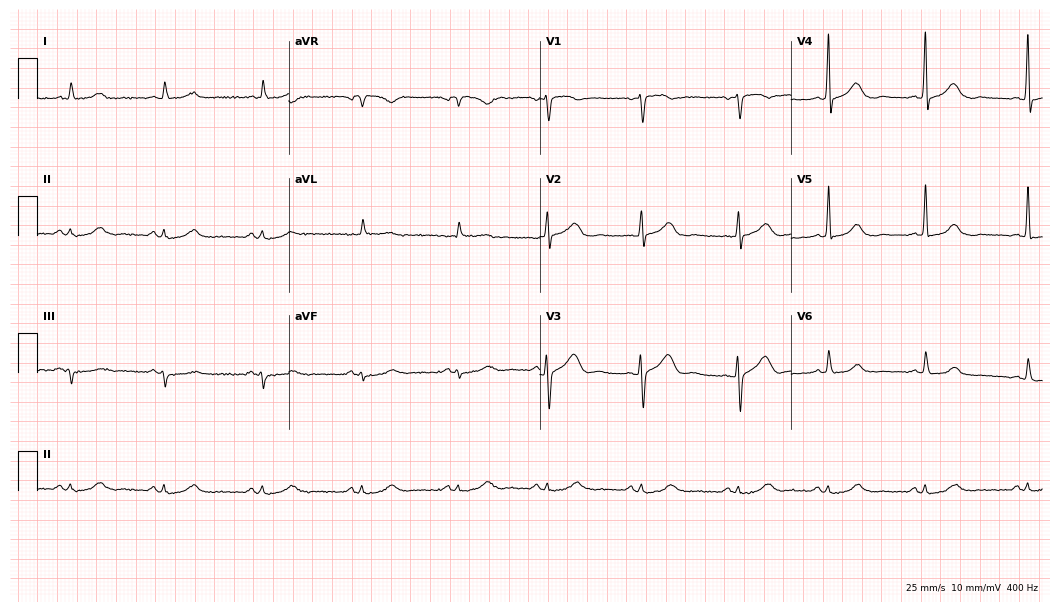
12-lead ECG from a female patient, 50 years old. Labelled as a normal ECG.